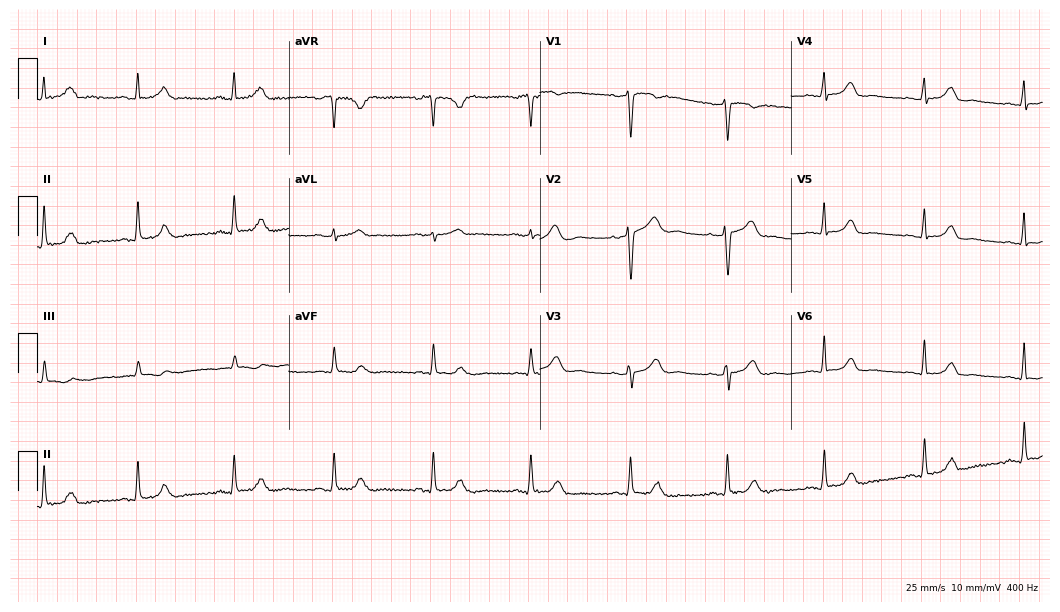
12-lead ECG from a 53-year-old female patient. Labelled as a normal ECG.